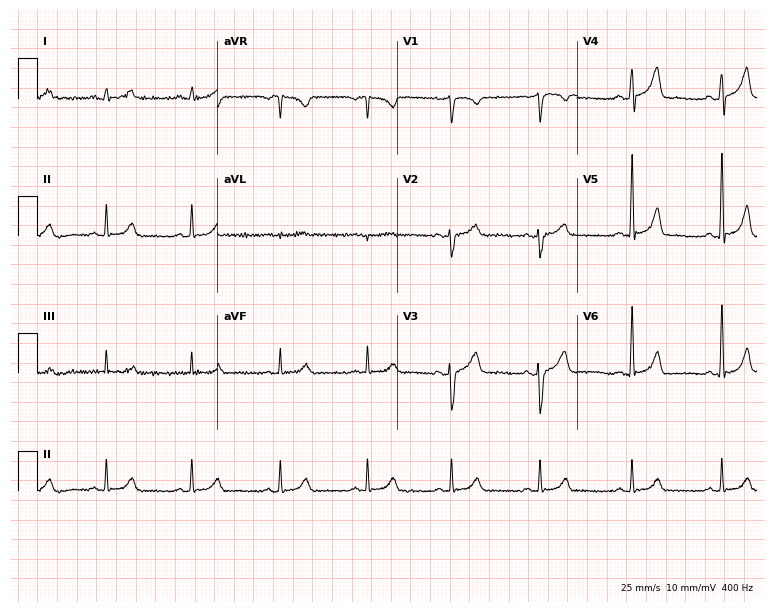
12-lead ECG from a female patient, 45 years old (7.3-second recording at 400 Hz). No first-degree AV block, right bundle branch block, left bundle branch block, sinus bradycardia, atrial fibrillation or sinus tachycardia recorded for this tracing.